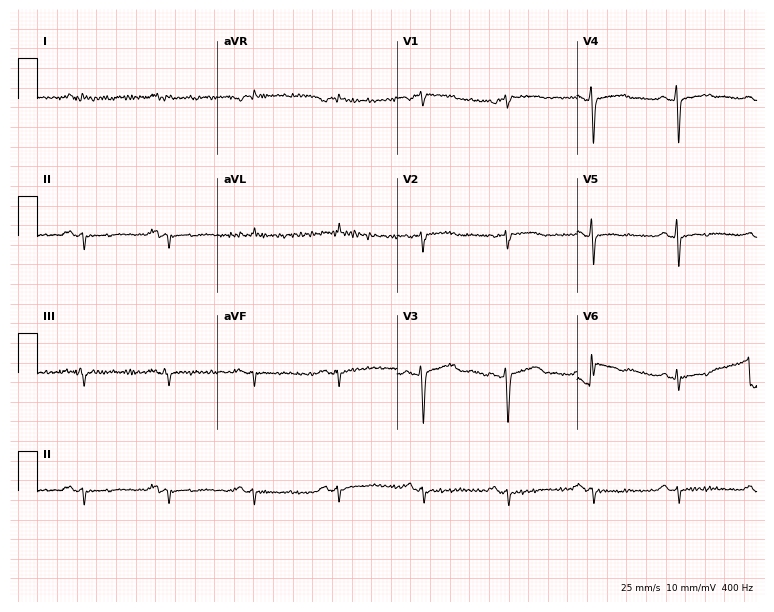
12-lead ECG from a 68-year-old man. Screened for six findings — first-degree AV block, right bundle branch block, left bundle branch block, sinus bradycardia, atrial fibrillation, sinus tachycardia — none is recorded. Findings outside these six are not listed.